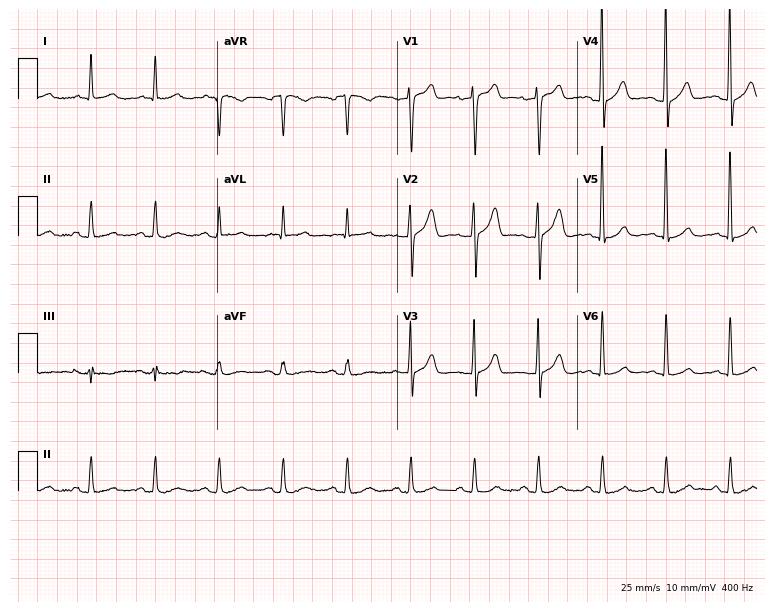
Resting 12-lead electrocardiogram (7.3-second recording at 400 Hz). Patient: an 80-year-old man. None of these six findings is recorded: first-degree AV block, right bundle branch block, left bundle branch block, sinus bradycardia, atrial fibrillation, sinus tachycardia.